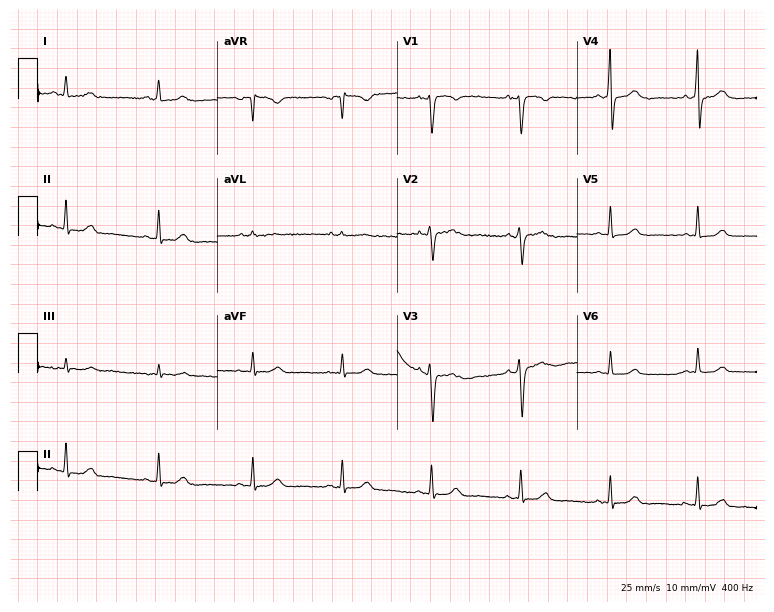
ECG (7.3-second recording at 400 Hz) — a 31-year-old female patient. Screened for six findings — first-degree AV block, right bundle branch block, left bundle branch block, sinus bradycardia, atrial fibrillation, sinus tachycardia — none is recorded.